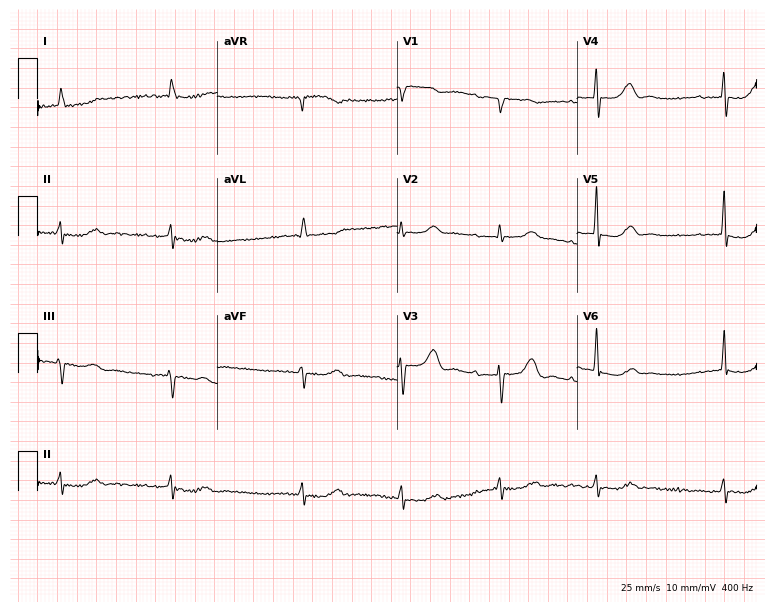
12-lead ECG from a male, 84 years old. Screened for six findings — first-degree AV block, right bundle branch block, left bundle branch block, sinus bradycardia, atrial fibrillation, sinus tachycardia — none is recorded. Only these six findings were labelled.